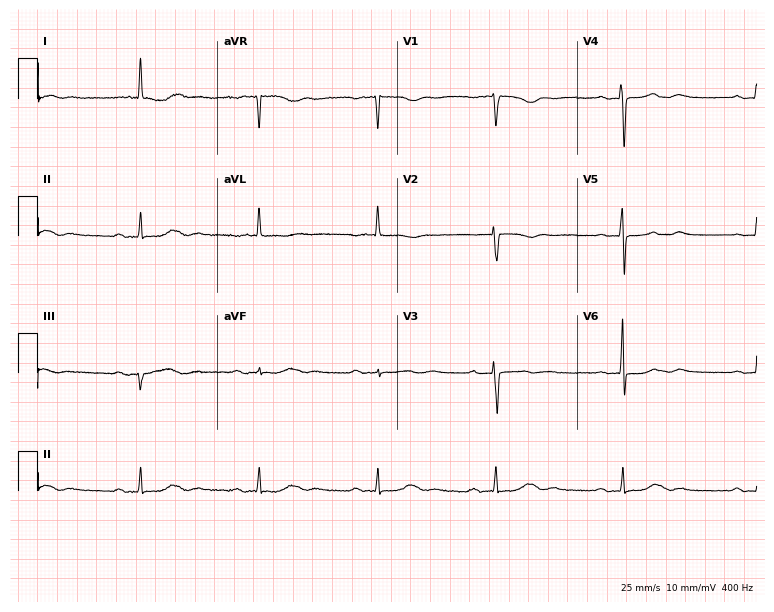
12-lead ECG from a 71-year-old female. Screened for six findings — first-degree AV block, right bundle branch block, left bundle branch block, sinus bradycardia, atrial fibrillation, sinus tachycardia — none is recorded.